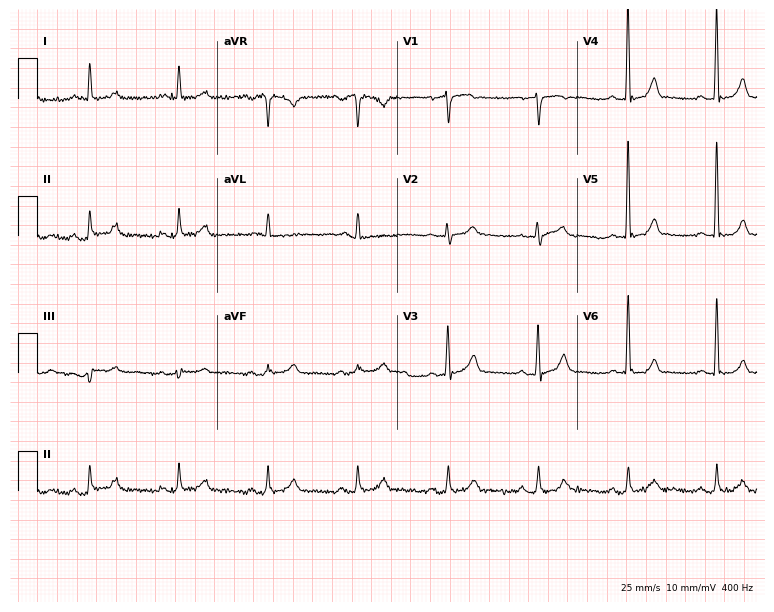
Electrocardiogram, a man, 71 years old. Overall reading on record: normal ECG.